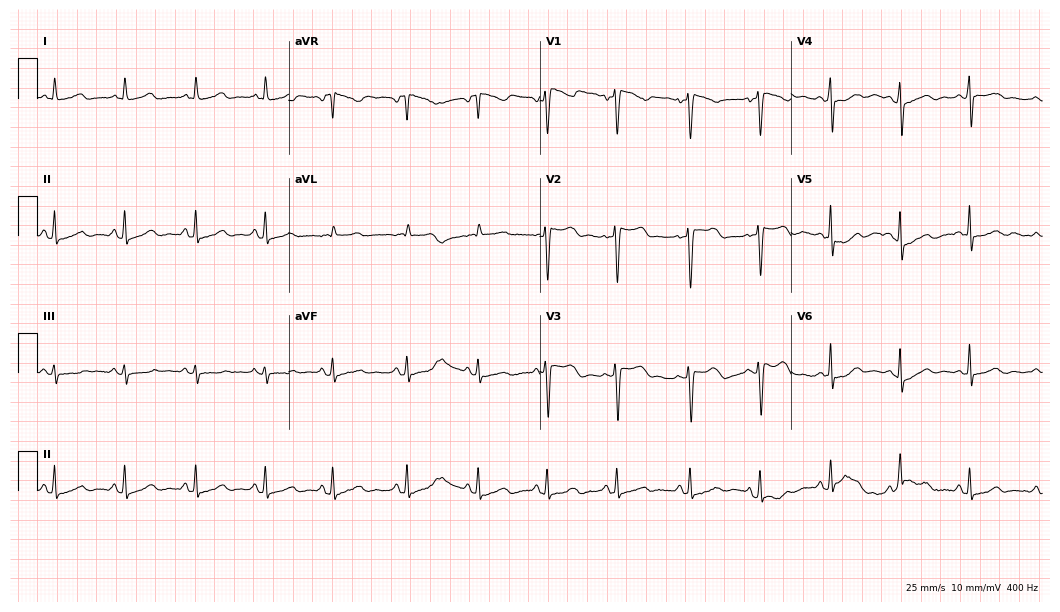
Resting 12-lead electrocardiogram (10.2-second recording at 400 Hz). Patient: a 58-year-old female. Read as a normal ECG.